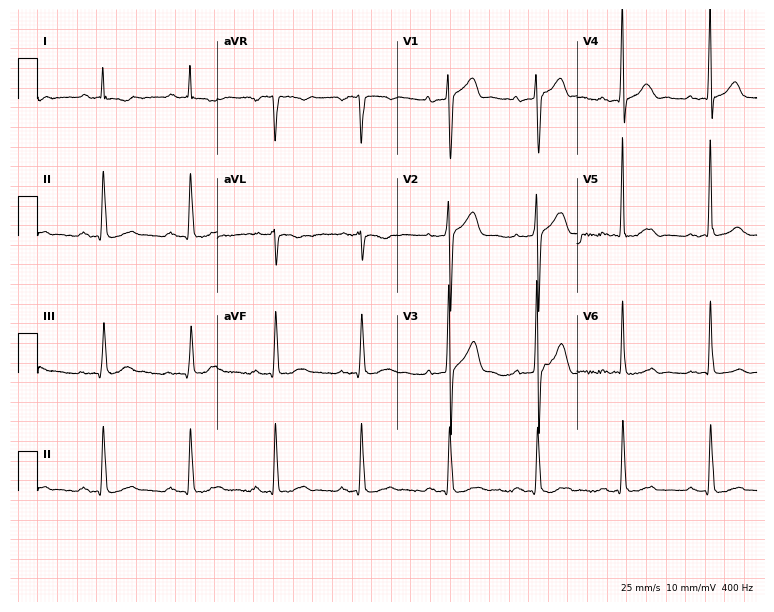
12-lead ECG from a male patient, 47 years old (7.3-second recording at 400 Hz). Shows first-degree AV block.